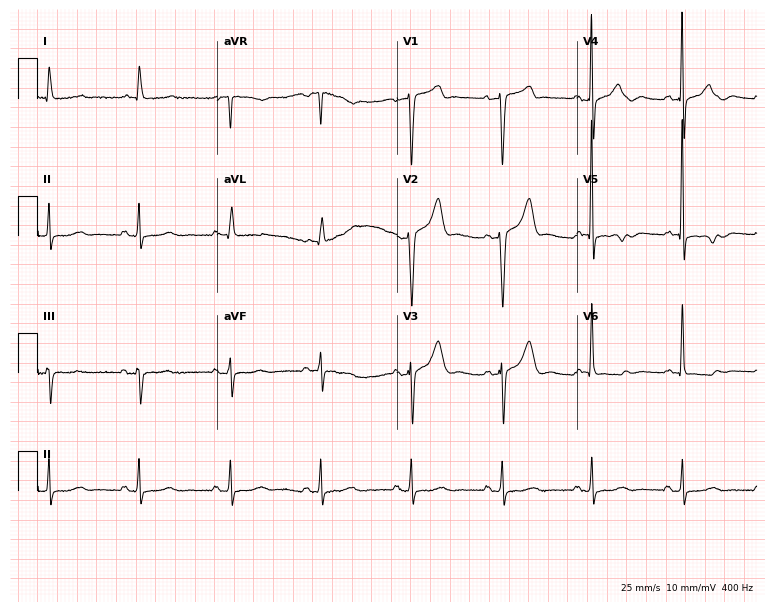
Resting 12-lead electrocardiogram. Patient: a female, 68 years old. None of these six findings is recorded: first-degree AV block, right bundle branch block (RBBB), left bundle branch block (LBBB), sinus bradycardia, atrial fibrillation (AF), sinus tachycardia. Only these six findings were labelled.